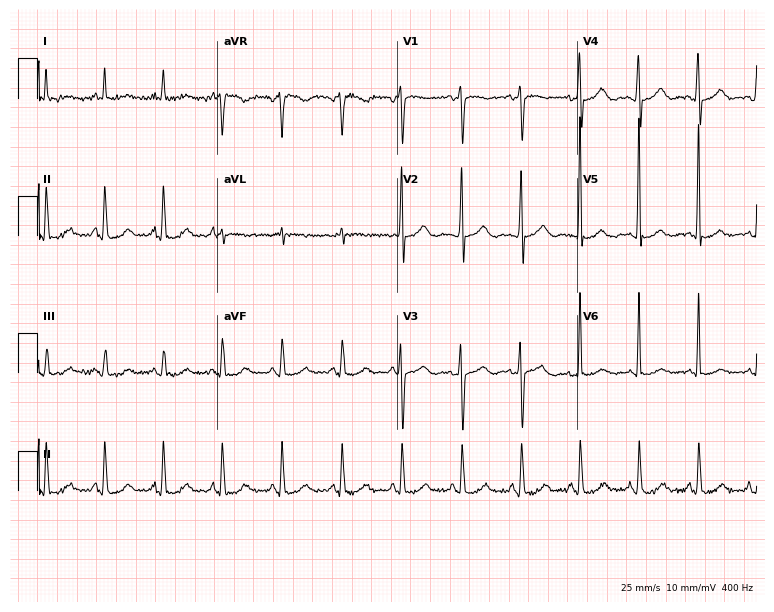
12-lead ECG from a female patient, 72 years old. Recorded interpretation: within normal limits.